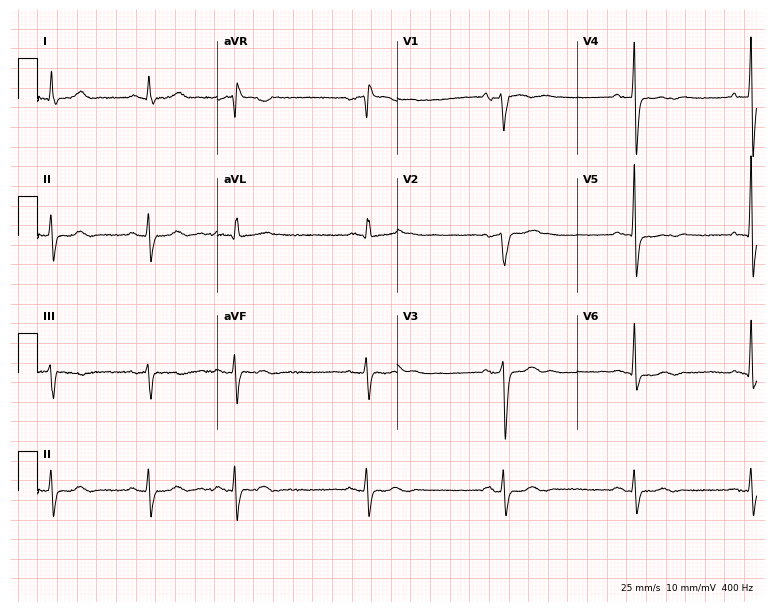
Resting 12-lead electrocardiogram. Patient: a 68-year-old male. None of these six findings is recorded: first-degree AV block, right bundle branch block, left bundle branch block, sinus bradycardia, atrial fibrillation, sinus tachycardia. Other findings, if any, are not listed.